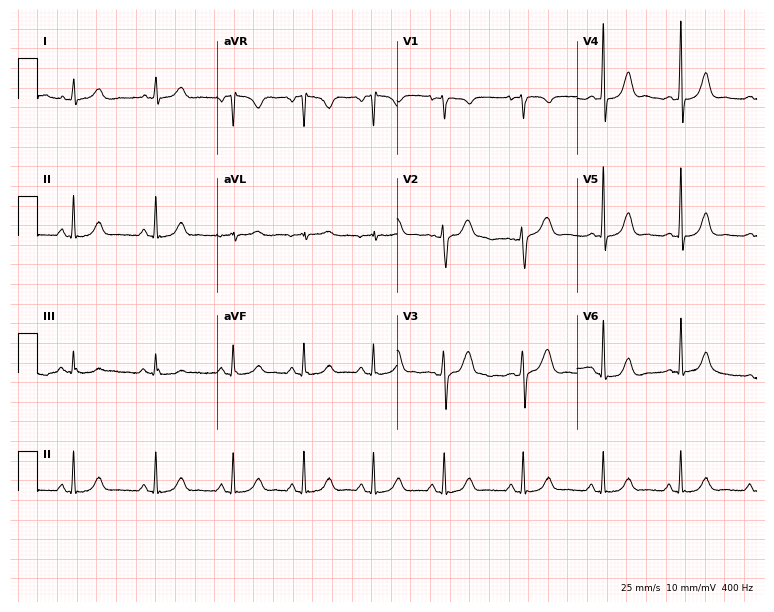
12-lead ECG from a female, 22 years old. Screened for six findings — first-degree AV block, right bundle branch block (RBBB), left bundle branch block (LBBB), sinus bradycardia, atrial fibrillation (AF), sinus tachycardia — none is recorded.